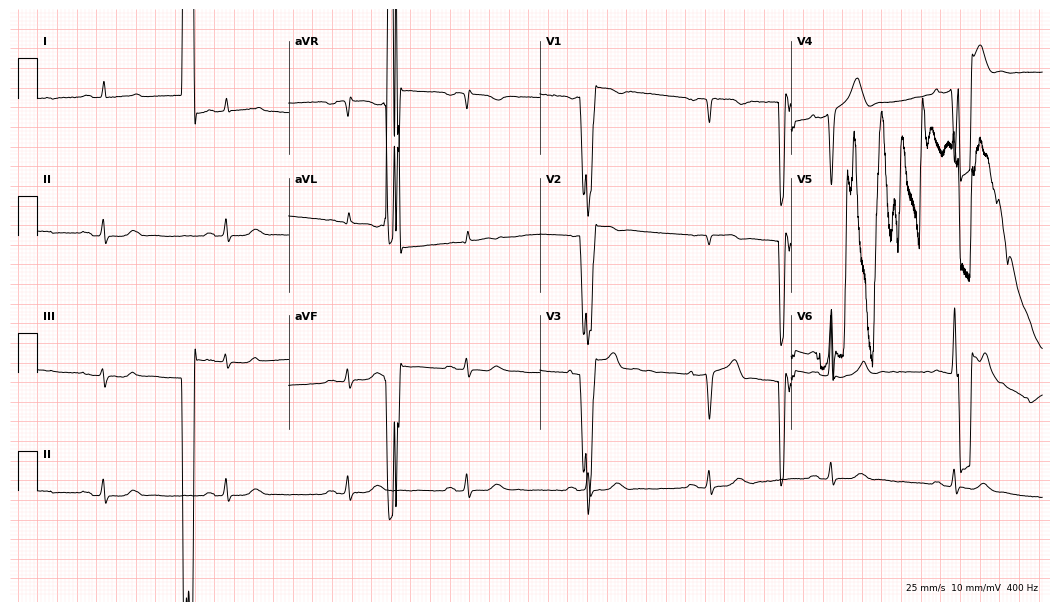
Electrocardiogram (10.2-second recording at 400 Hz), a 72-year-old male patient. Of the six screened findings (first-degree AV block, right bundle branch block, left bundle branch block, sinus bradycardia, atrial fibrillation, sinus tachycardia), none is recorded. Only these six findings were labelled.